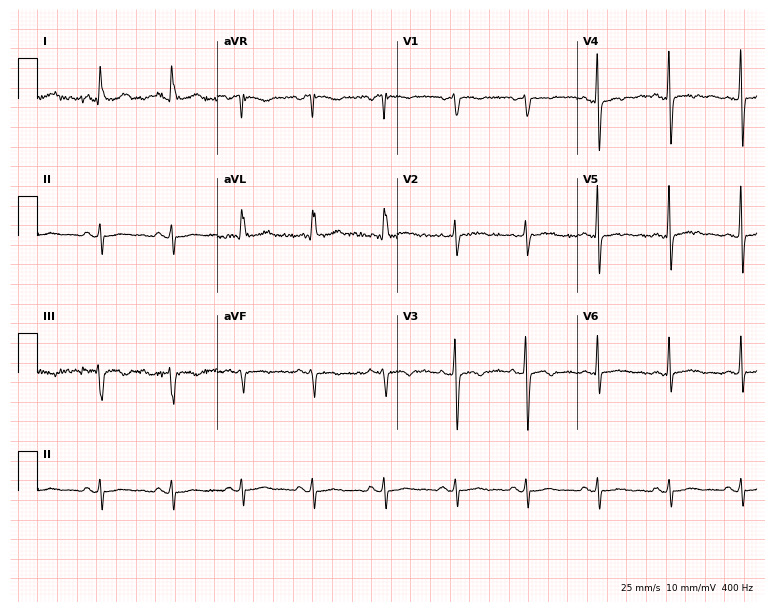
Electrocardiogram, a 47-year-old female patient. Of the six screened findings (first-degree AV block, right bundle branch block, left bundle branch block, sinus bradycardia, atrial fibrillation, sinus tachycardia), none is recorded. Findings outside these six are not listed.